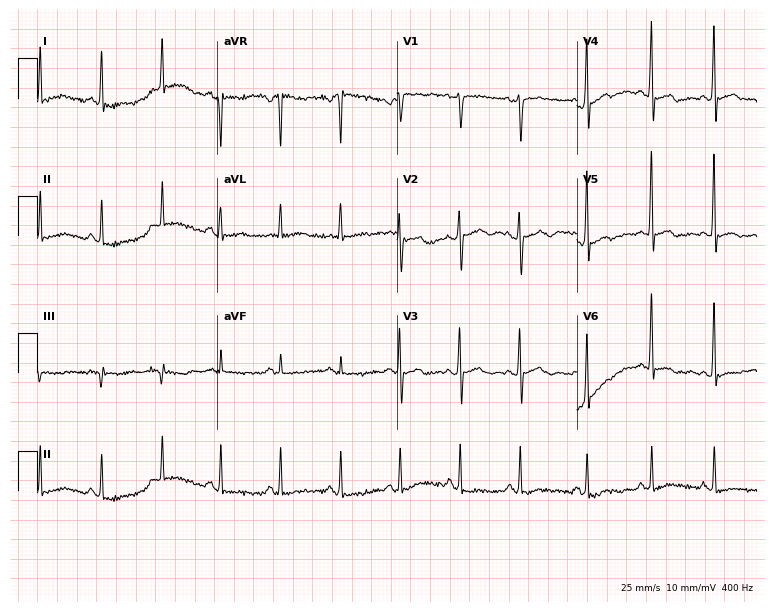
Resting 12-lead electrocardiogram (7.3-second recording at 400 Hz). Patient: a 45-year-old female. None of these six findings is recorded: first-degree AV block, right bundle branch block, left bundle branch block, sinus bradycardia, atrial fibrillation, sinus tachycardia. Findings outside these six are not listed.